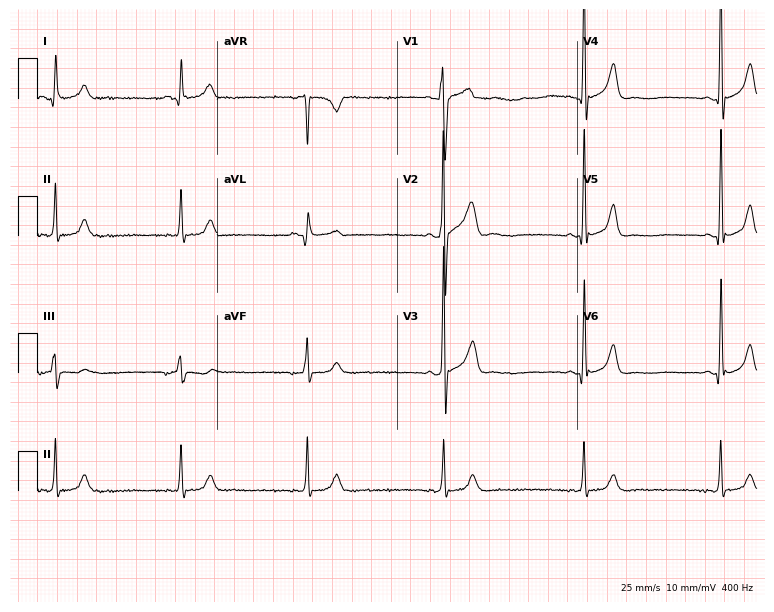
Resting 12-lead electrocardiogram. Patient: a male, 24 years old. None of these six findings is recorded: first-degree AV block, right bundle branch block, left bundle branch block, sinus bradycardia, atrial fibrillation, sinus tachycardia. Other findings, if any, are not listed.